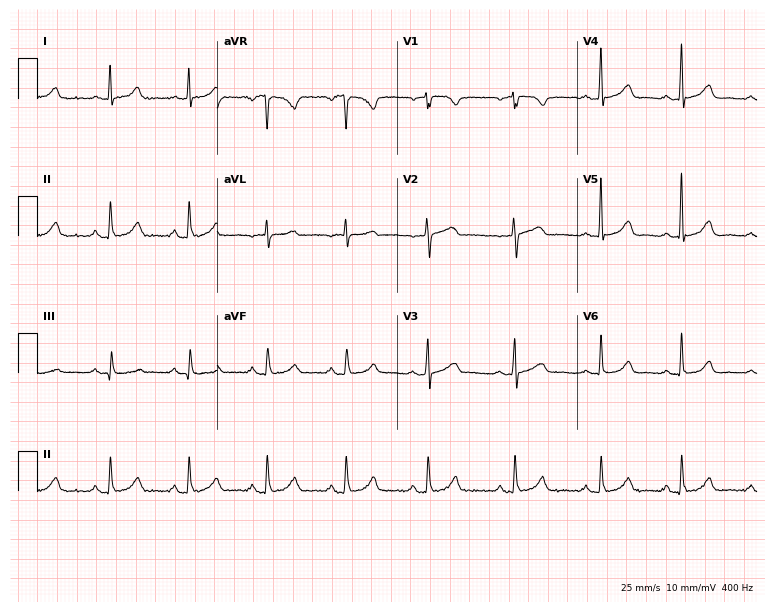
Resting 12-lead electrocardiogram (7.3-second recording at 400 Hz). Patient: a 62-year-old woman. Read as a normal ECG.